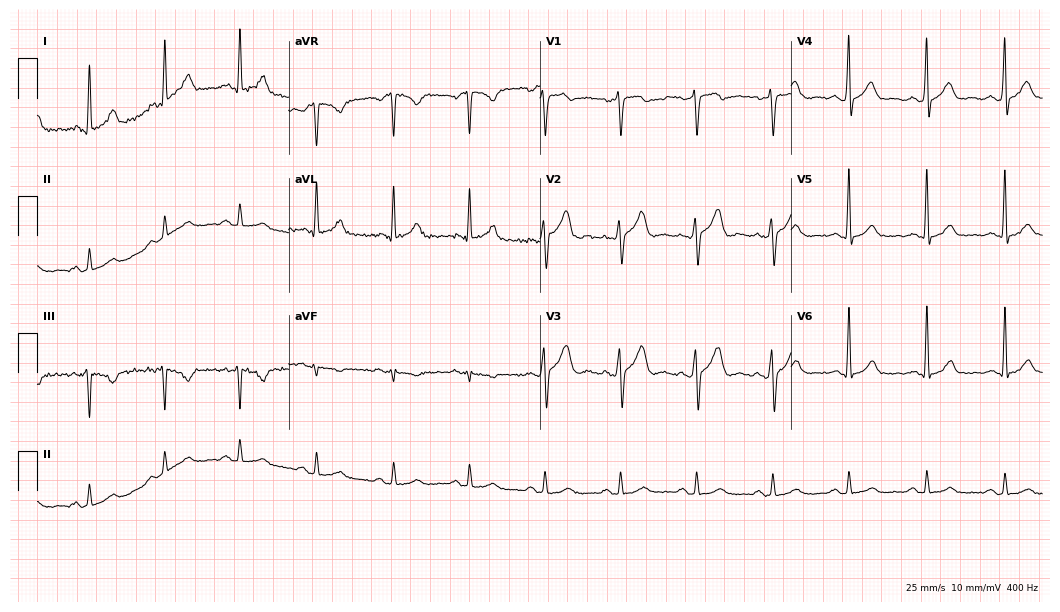
12-lead ECG (10.2-second recording at 400 Hz) from a 39-year-old male. Labelled as a normal ECG.